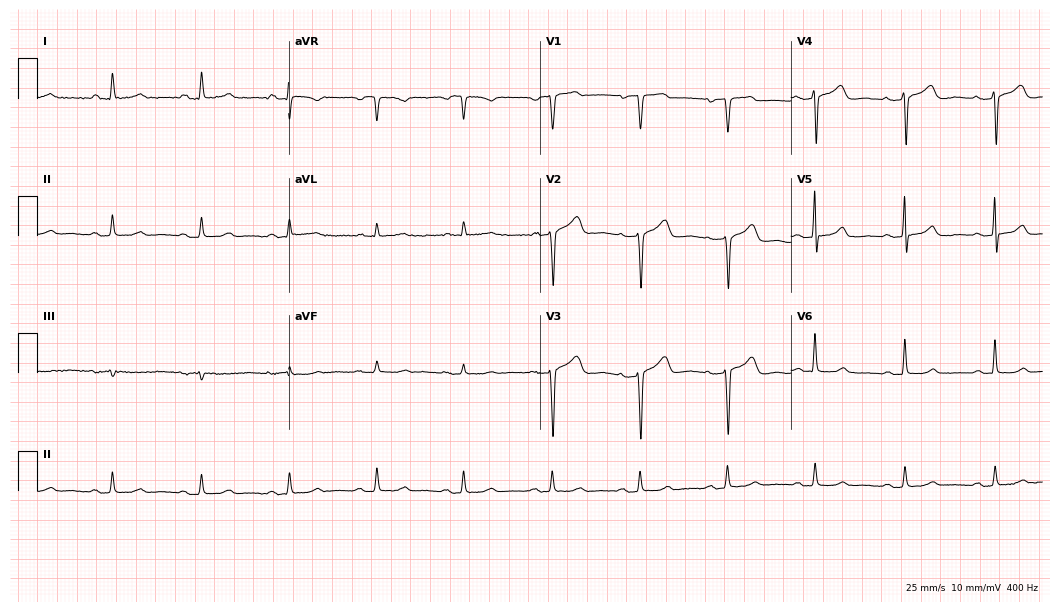
12-lead ECG (10.2-second recording at 400 Hz) from a 68-year-old female. Screened for six findings — first-degree AV block, right bundle branch block, left bundle branch block, sinus bradycardia, atrial fibrillation, sinus tachycardia — none is recorded. Findings outside these six are not listed.